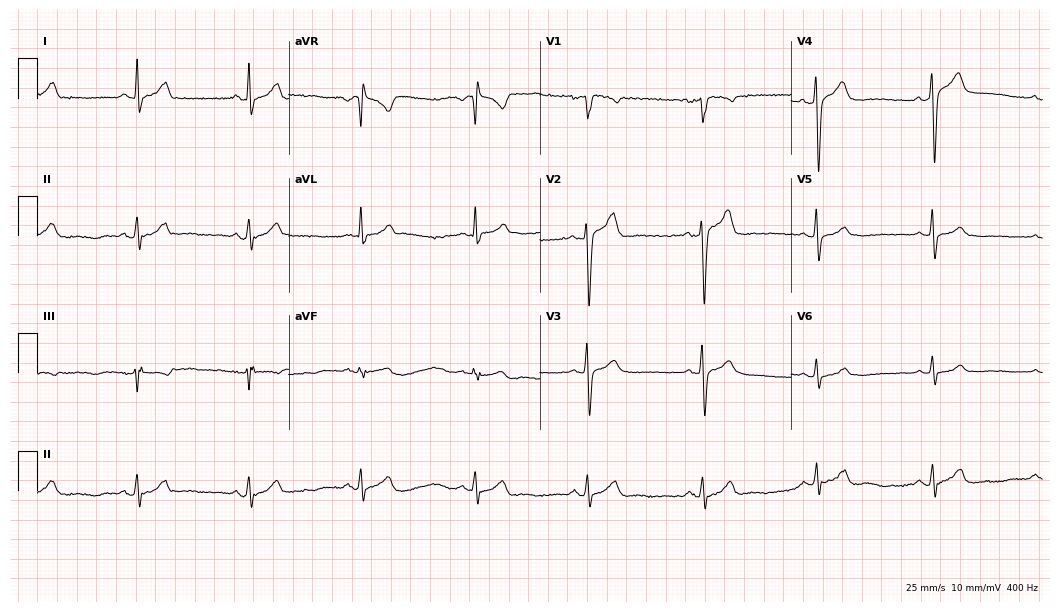
Electrocardiogram (10.2-second recording at 400 Hz), a 50-year-old man. Overall reading on record: normal ECG.